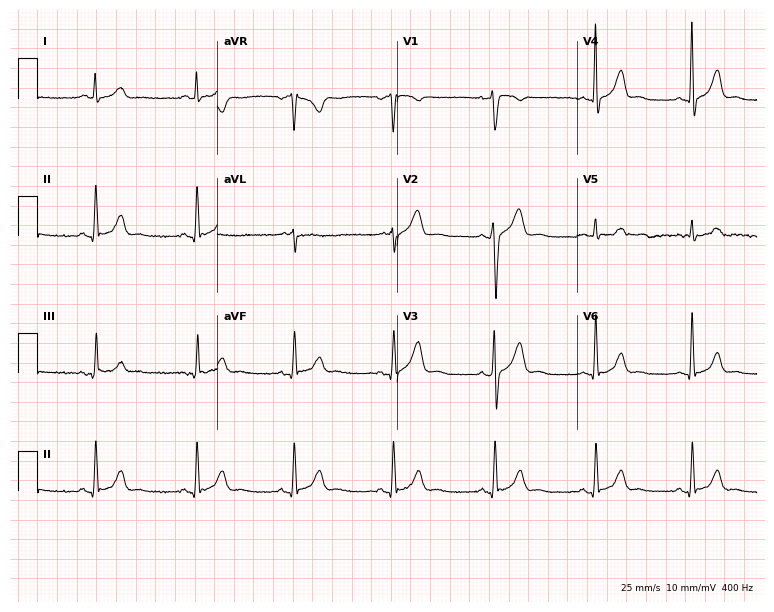
Resting 12-lead electrocardiogram (7.3-second recording at 400 Hz). Patient: a male, 37 years old. Read as a normal ECG.